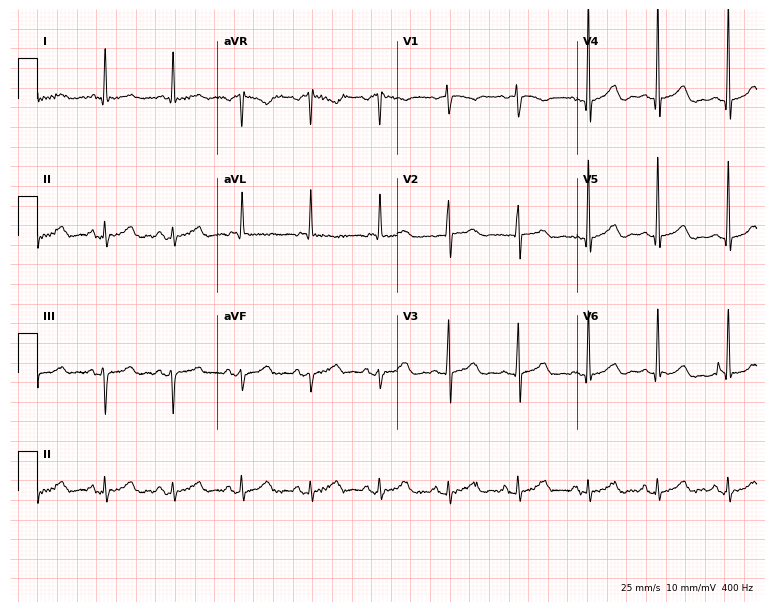
Electrocardiogram (7.3-second recording at 400 Hz), a 78-year-old female patient. Of the six screened findings (first-degree AV block, right bundle branch block (RBBB), left bundle branch block (LBBB), sinus bradycardia, atrial fibrillation (AF), sinus tachycardia), none is recorded.